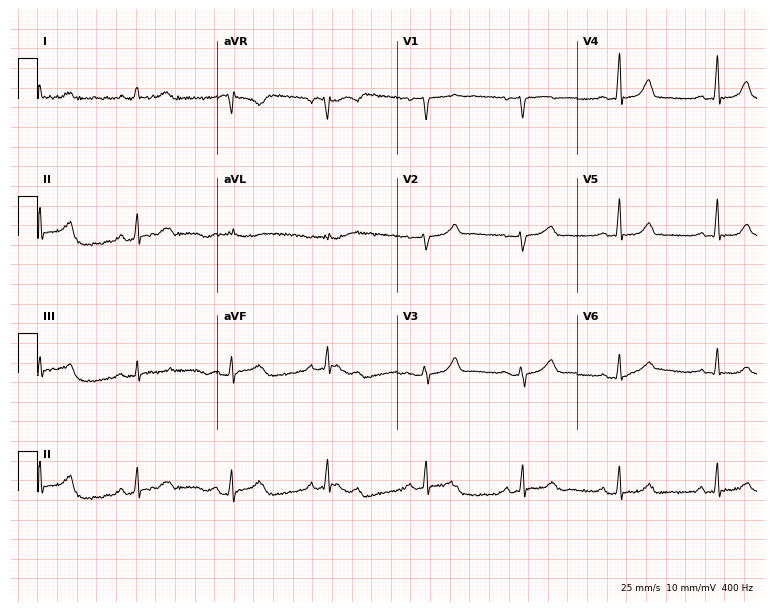
12-lead ECG from a 65-year-old female patient. No first-degree AV block, right bundle branch block, left bundle branch block, sinus bradycardia, atrial fibrillation or sinus tachycardia recorded for this tracing.